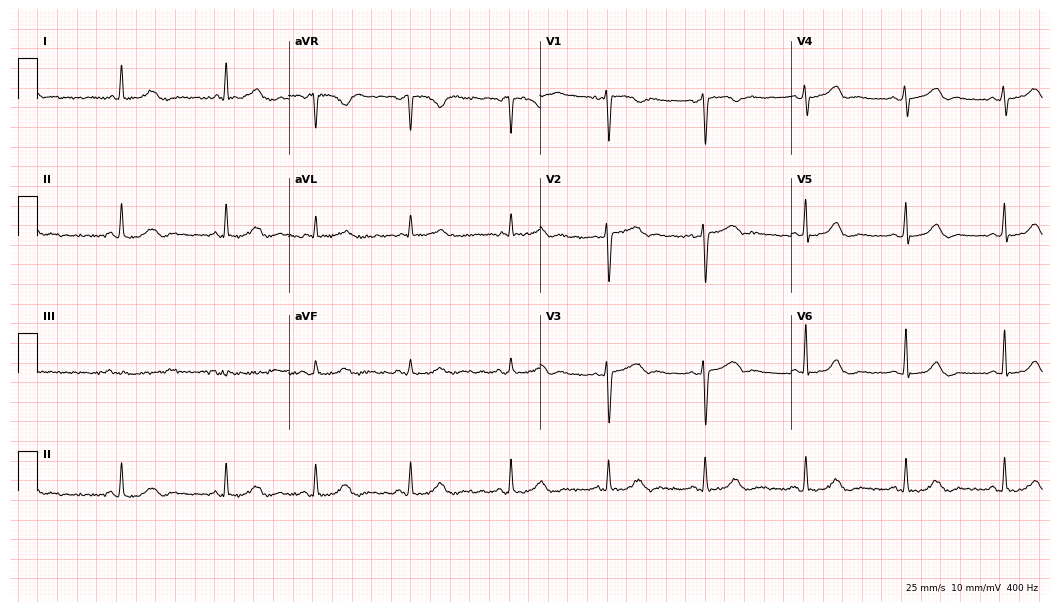
Electrocardiogram (10.2-second recording at 400 Hz), a female, 62 years old. Of the six screened findings (first-degree AV block, right bundle branch block, left bundle branch block, sinus bradycardia, atrial fibrillation, sinus tachycardia), none is recorded. Other findings, if any, are not listed.